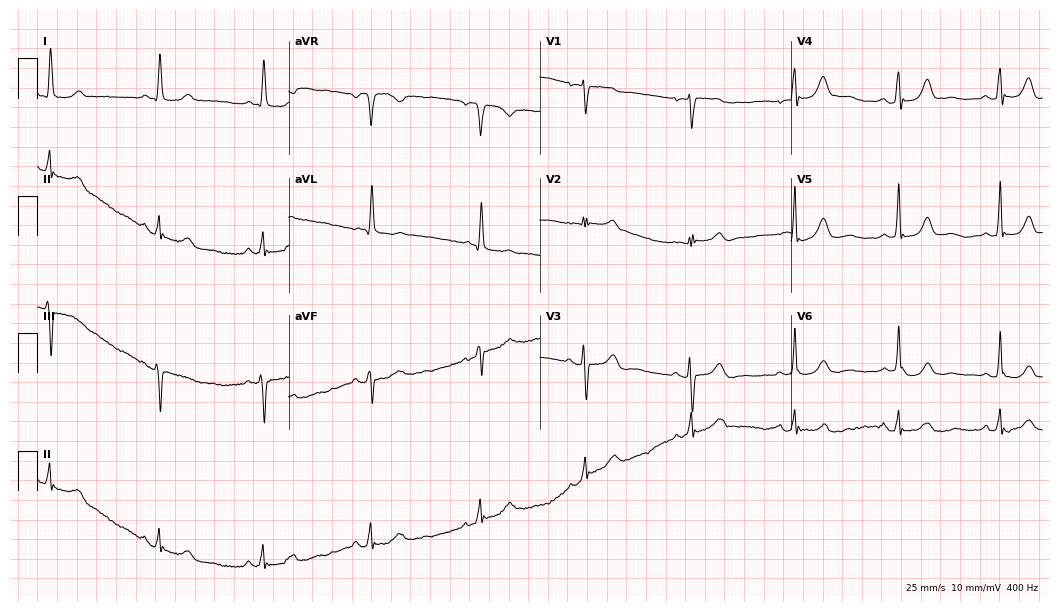
12-lead ECG from a female, 77 years old. Labelled as a normal ECG.